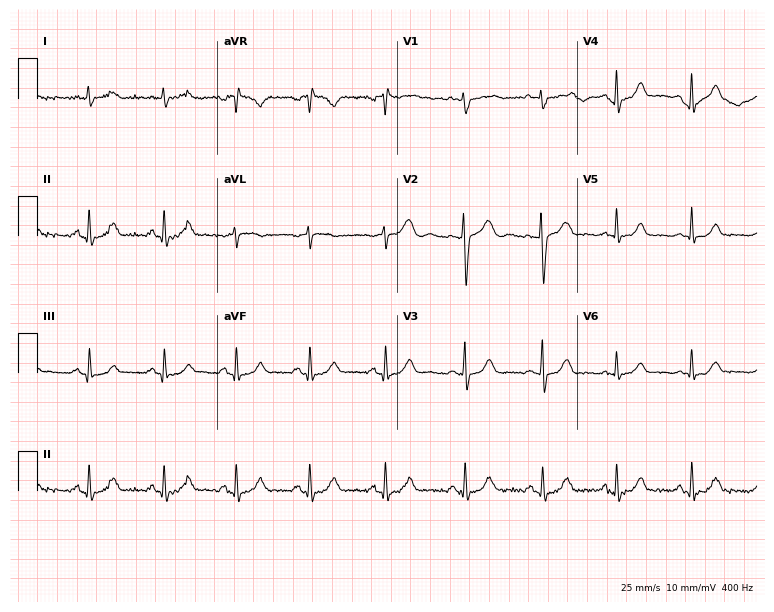
Standard 12-lead ECG recorded from a 29-year-old woman (7.3-second recording at 400 Hz). None of these six findings is recorded: first-degree AV block, right bundle branch block, left bundle branch block, sinus bradycardia, atrial fibrillation, sinus tachycardia. Findings outside these six are not listed.